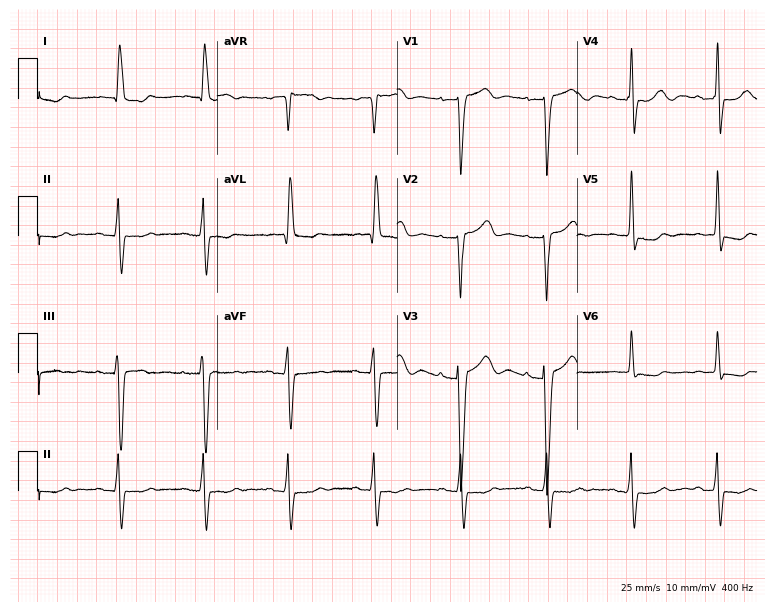
12-lead ECG (7.3-second recording at 400 Hz) from an 82-year-old woman. Screened for six findings — first-degree AV block, right bundle branch block, left bundle branch block, sinus bradycardia, atrial fibrillation, sinus tachycardia — none is recorded.